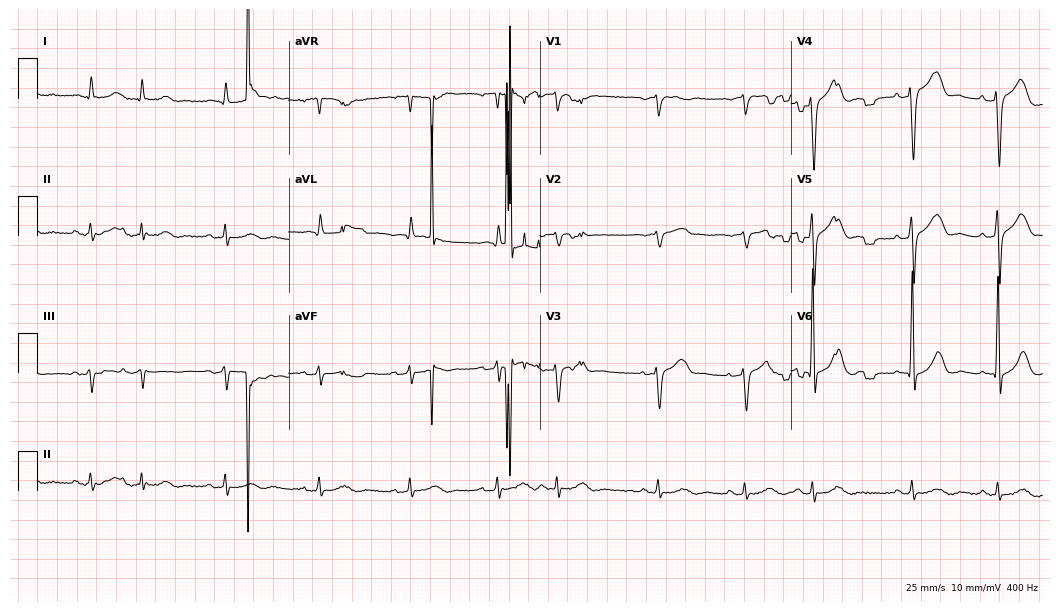
ECG — a man, 80 years old. Screened for six findings — first-degree AV block, right bundle branch block, left bundle branch block, sinus bradycardia, atrial fibrillation, sinus tachycardia — none is recorded. Only these six findings were labelled.